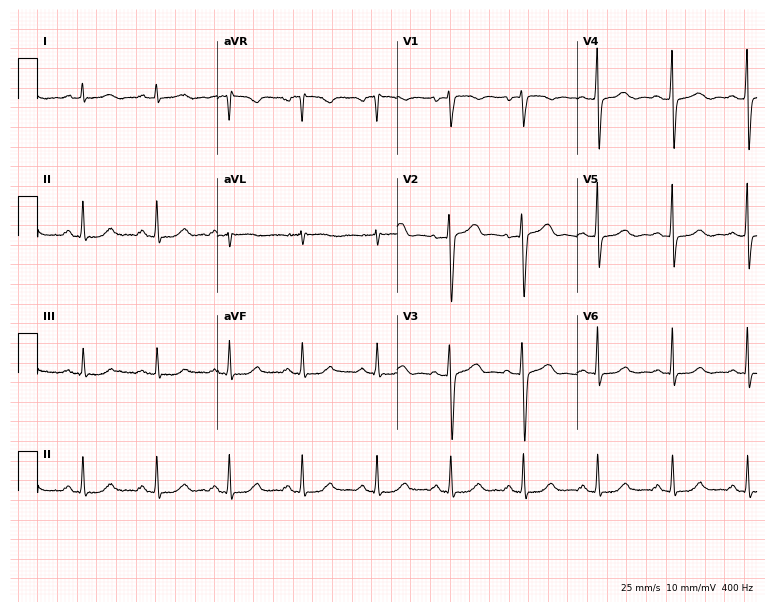
Standard 12-lead ECG recorded from a female, 49 years old. None of these six findings is recorded: first-degree AV block, right bundle branch block (RBBB), left bundle branch block (LBBB), sinus bradycardia, atrial fibrillation (AF), sinus tachycardia. Other findings, if any, are not listed.